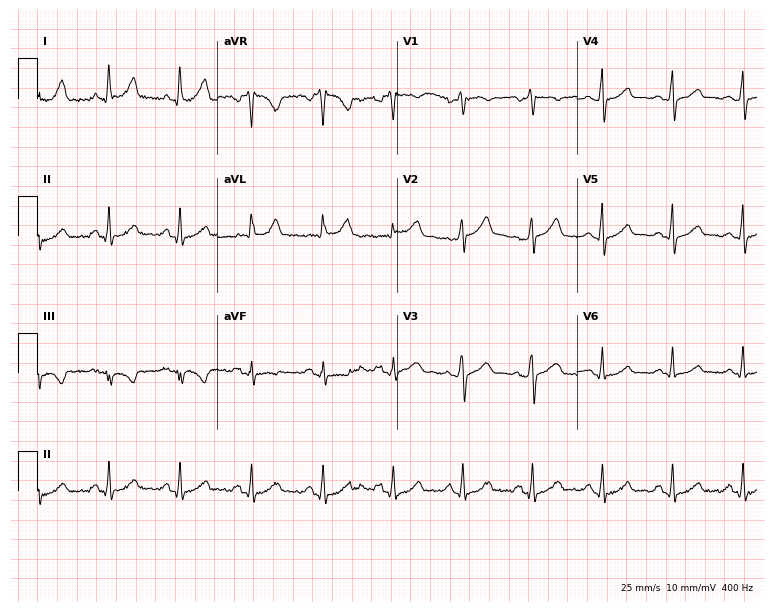
12-lead ECG from a woman, 53 years old. Labelled as a normal ECG.